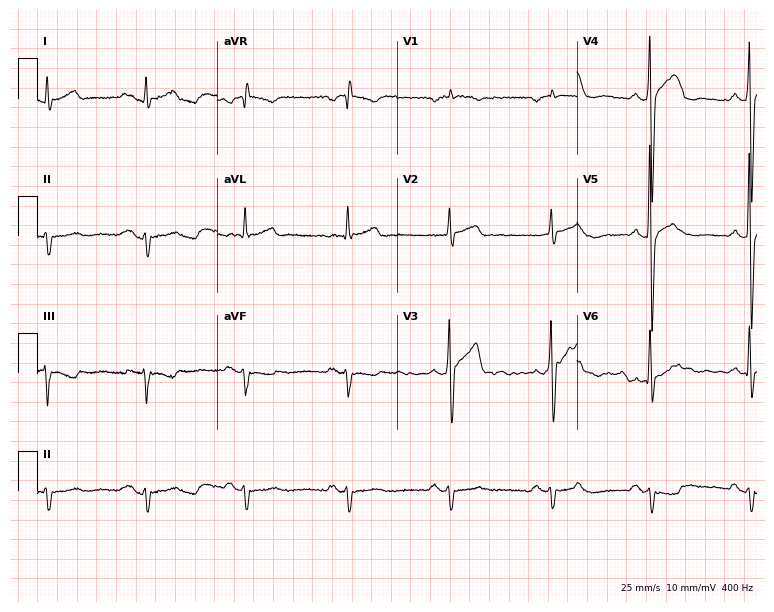
12-lead ECG from a man, 49 years old. Screened for six findings — first-degree AV block, right bundle branch block, left bundle branch block, sinus bradycardia, atrial fibrillation, sinus tachycardia — none is recorded. Findings outside these six are not listed.